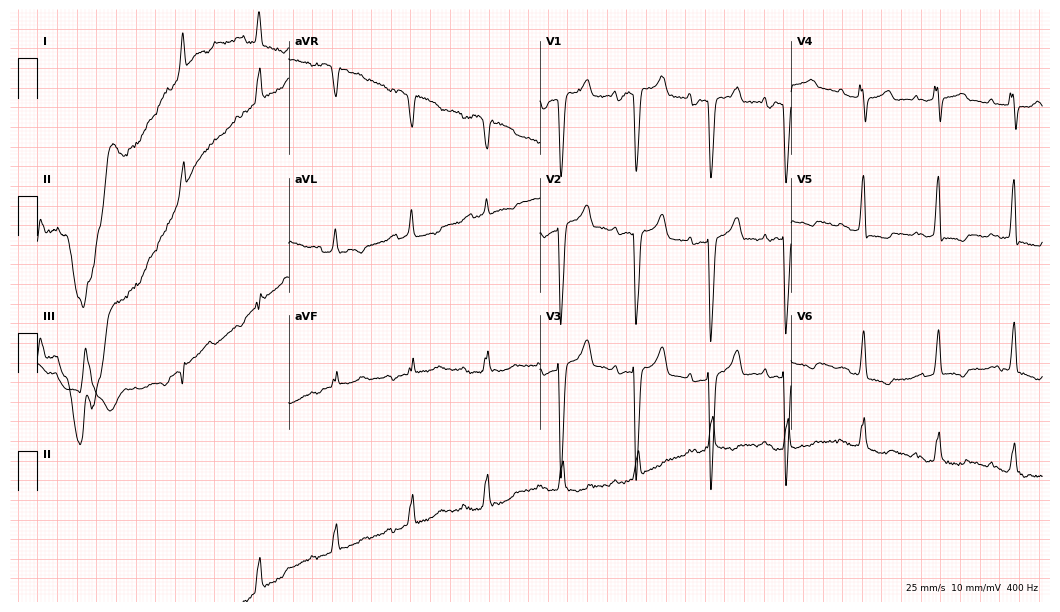
Standard 12-lead ECG recorded from a male, 76 years old (10.2-second recording at 400 Hz). None of these six findings is recorded: first-degree AV block, right bundle branch block, left bundle branch block, sinus bradycardia, atrial fibrillation, sinus tachycardia.